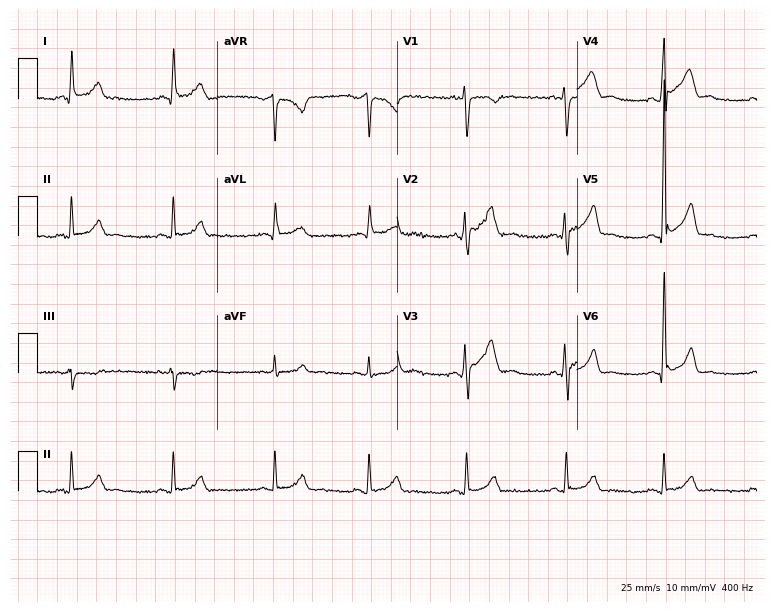
Resting 12-lead electrocardiogram. Patient: a 31-year-old female. None of these six findings is recorded: first-degree AV block, right bundle branch block (RBBB), left bundle branch block (LBBB), sinus bradycardia, atrial fibrillation (AF), sinus tachycardia. Findings outside these six are not listed.